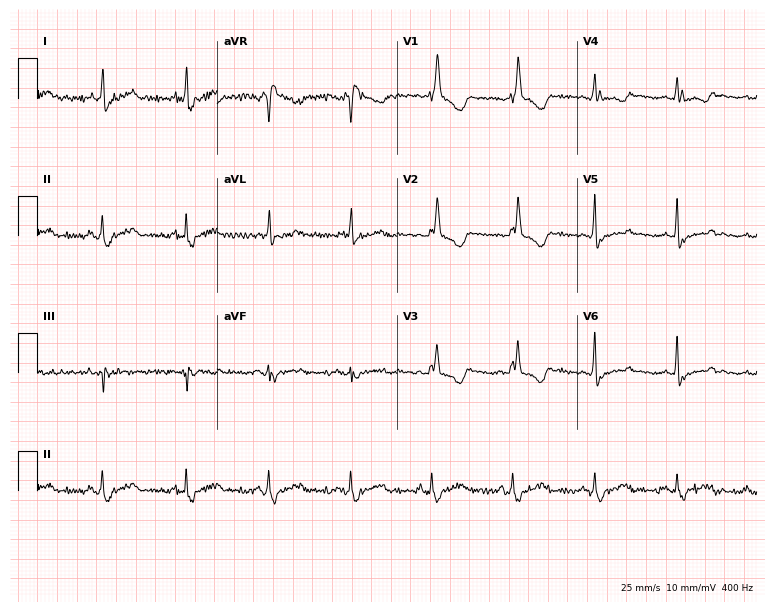
Resting 12-lead electrocardiogram. Patient: a 38-year-old female. The tracing shows right bundle branch block.